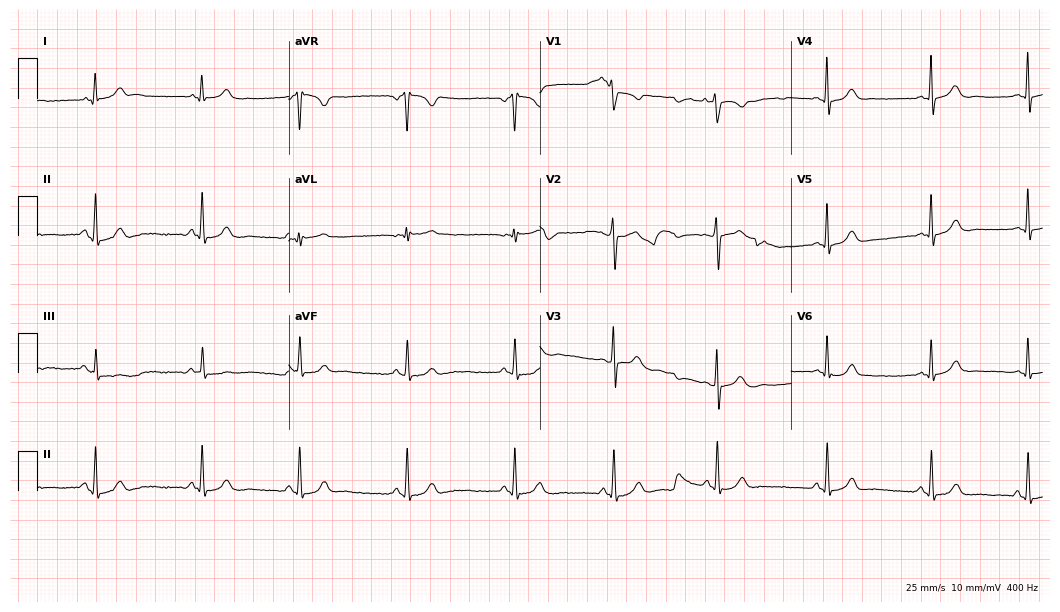
12-lead ECG from a female patient, 32 years old. Recorded interpretation: within normal limits.